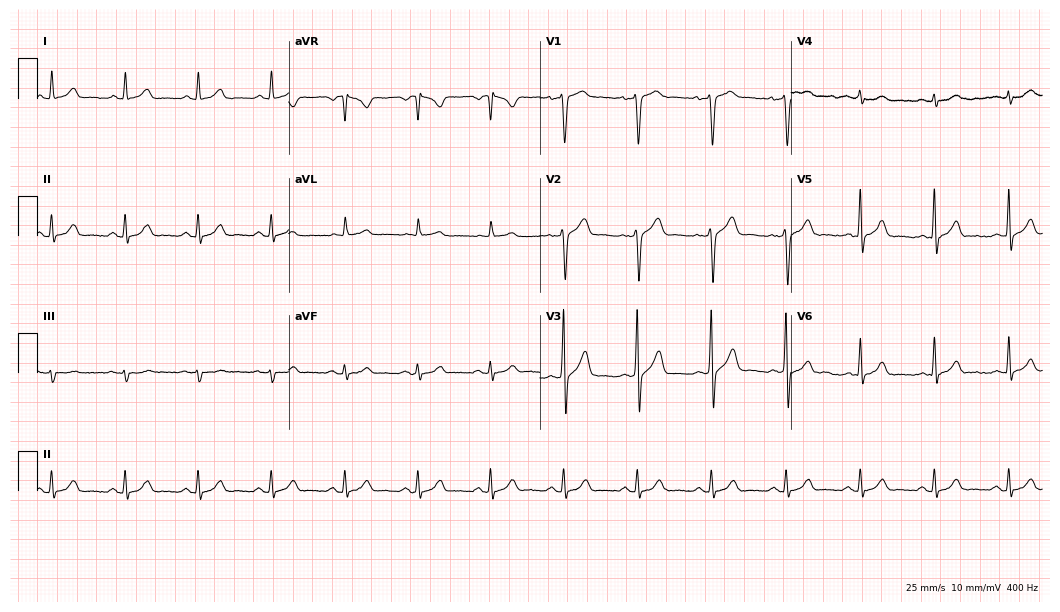
Standard 12-lead ECG recorded from a male, 52 years old (10.2-second recording at 400 Hz). None of these six findings is recorded: first-degree AV block, right bundle branch block, left bundle branch block, sinus bradycardia, atrial fibrillation, sinus tachycardia. Only these six findings were labelled.